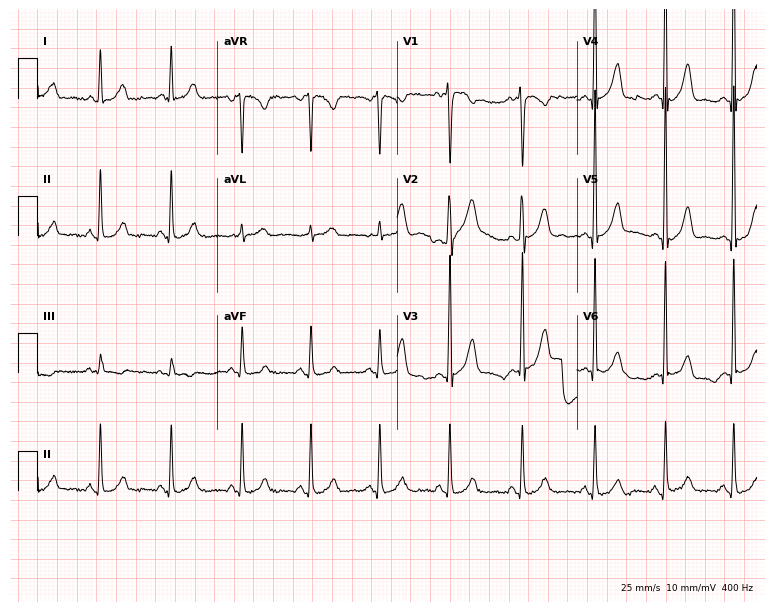
12-lead ECG (7.3-second recording at 400 Hz) from a female patient, 32 years old. Screened for six findings — first-degree AV block, right bundle branch block (RBBB), left bundle branch block (LBBB), sinus bradycardia, atrial fibrillation (AF), sinus tachycardia — none is recorded. Findings outside these six are not listed.